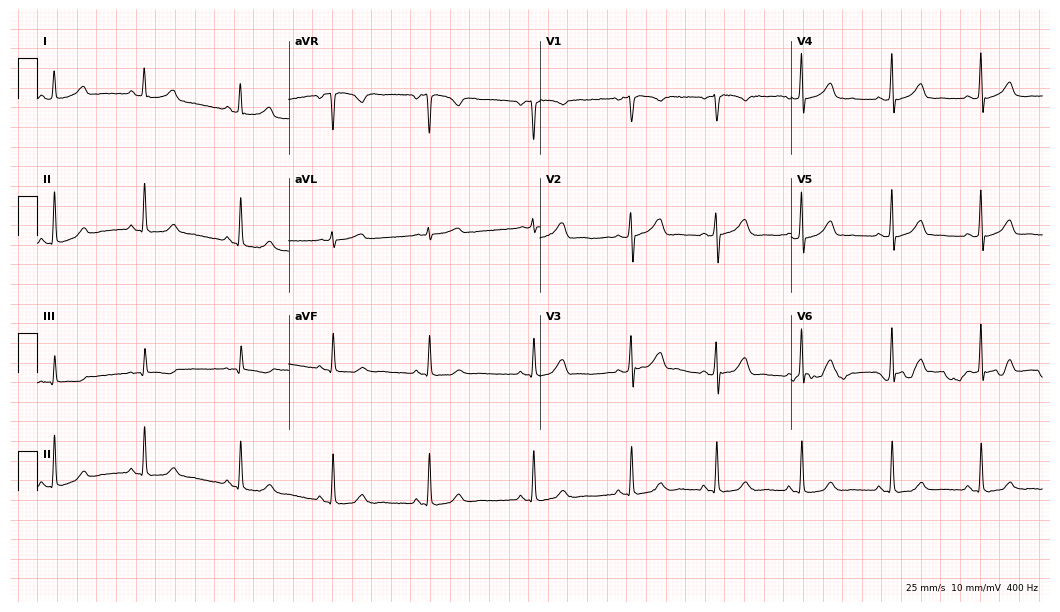
12-lead ECG from a female, 48 years old (10.2-second recording at 400 Hz). Recorded interpretation: within normal limits.